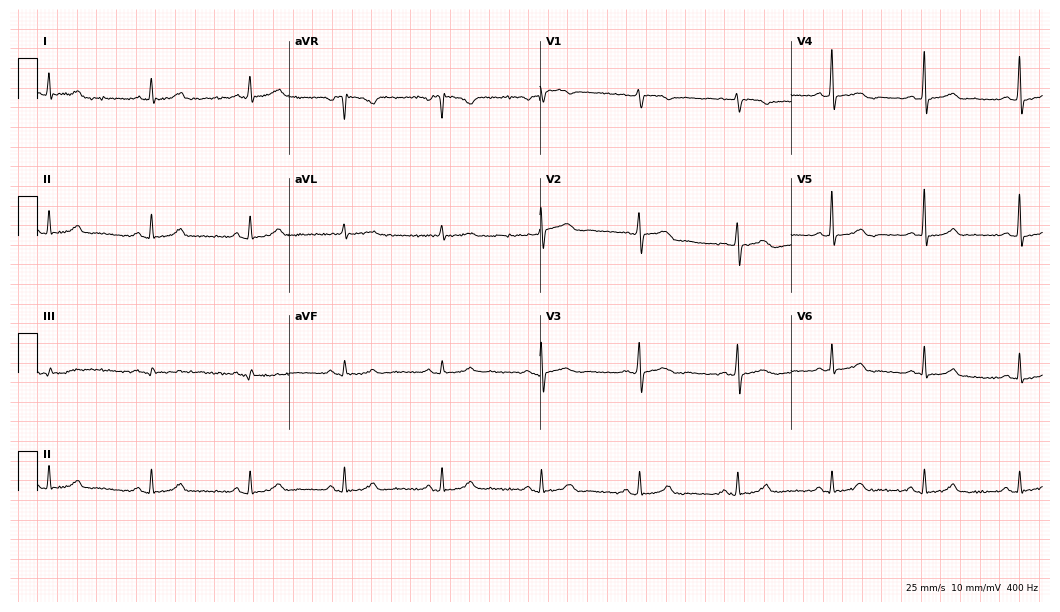
12-lead ECG from a 50-year-old female patient. Recorded interpretation: within normal limits.